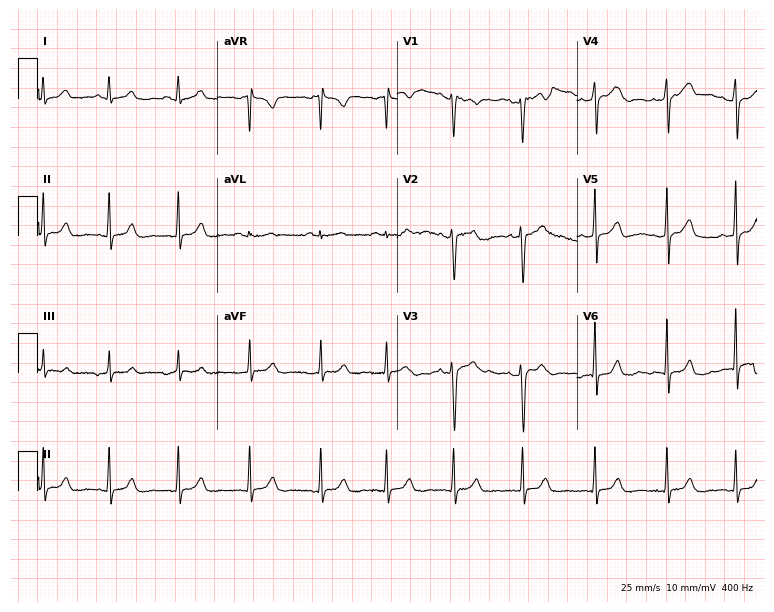
12-lead ECG (7.3-second recording at 400 Hz) from a female, 34 years old. Labelled as a normal ECG.